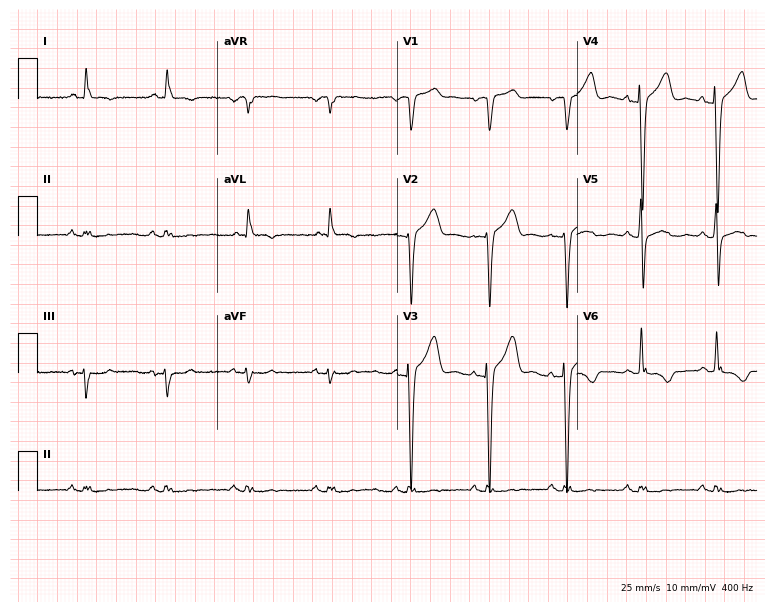
12-lead ECG (7.3-second recording at 400 Hz) from a man, 64 years old. Screened for six findings — first-degree AV block, right bundle branch block, left bundle branch block, sinus bradycardia, atrial fibrillation, sinus tachycardia — none is recorded. Findings outside these six are not listed.